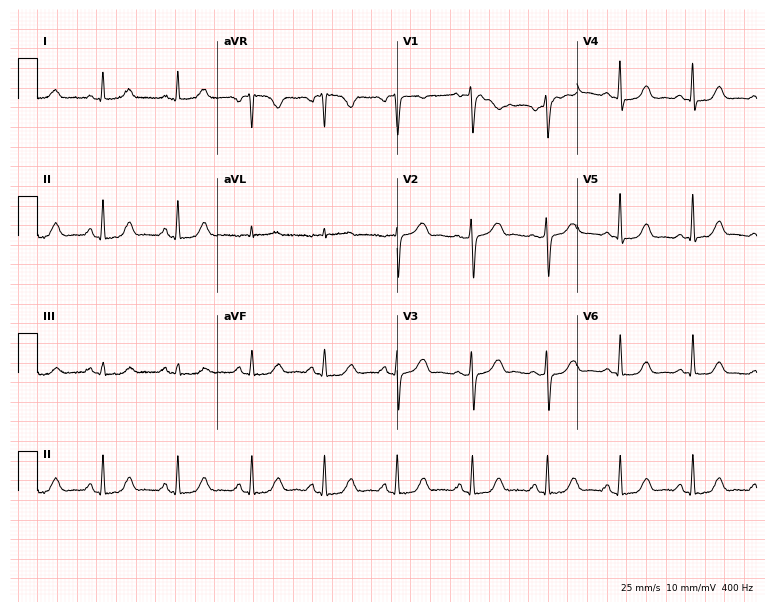
Resting 12-lead electrocardiogram (7.3-second recording at 400 Hz). Patient: a female, 53 years old. None of these six findings is recorded: first-degree AV block, right bundle branch block, left bundle branch block, sinus bradycardia, atrial fibrillation, sinus tachycardia. Findings outside these six are not listed.